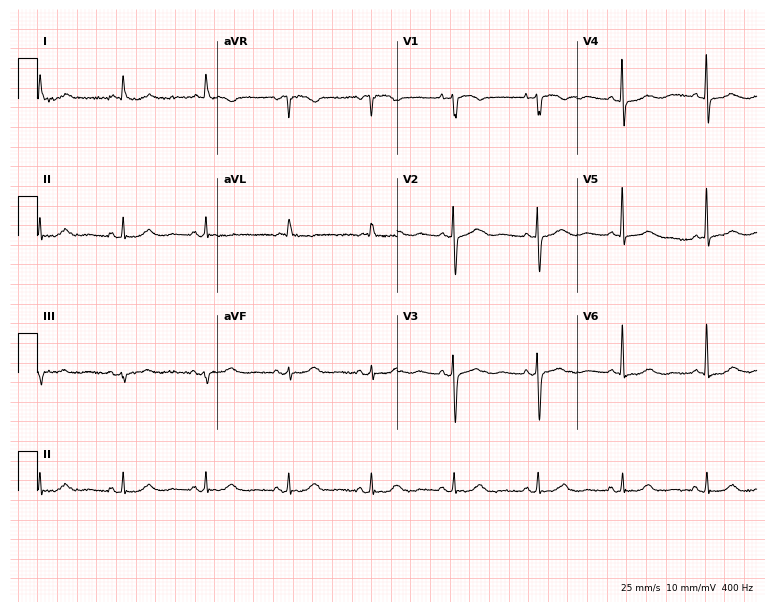
12-lead ECG (7.3-second recording at 400 Hz) from a 70-year-old woman. Screened for six findings — first-degree AV block, right bundle branch block, left bundle branch block, sinus bradycardia, atrial fibrillation, sinus tachycardia — none is recorded.